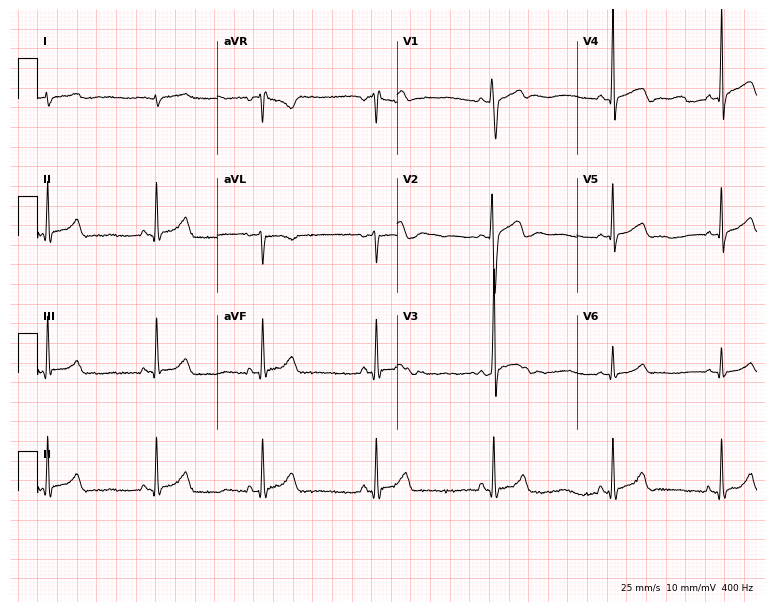
ECG — an 18-year-old male. Screened for six findings — first-degree AV block, right bundle branch block, left bundle branch block, sinus bradycardia, atrial fibrillation, sinus tachycardia — none is recorded. Findings outside these six are not listed.